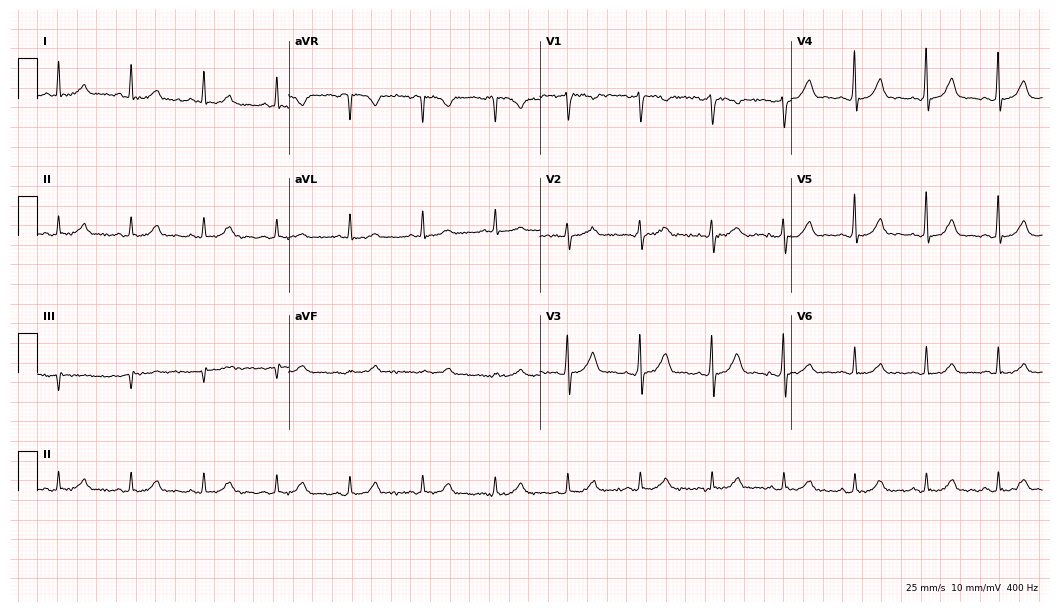
12-lead ECG from a 66-year-old female patient. Labelled as a normal ECG.